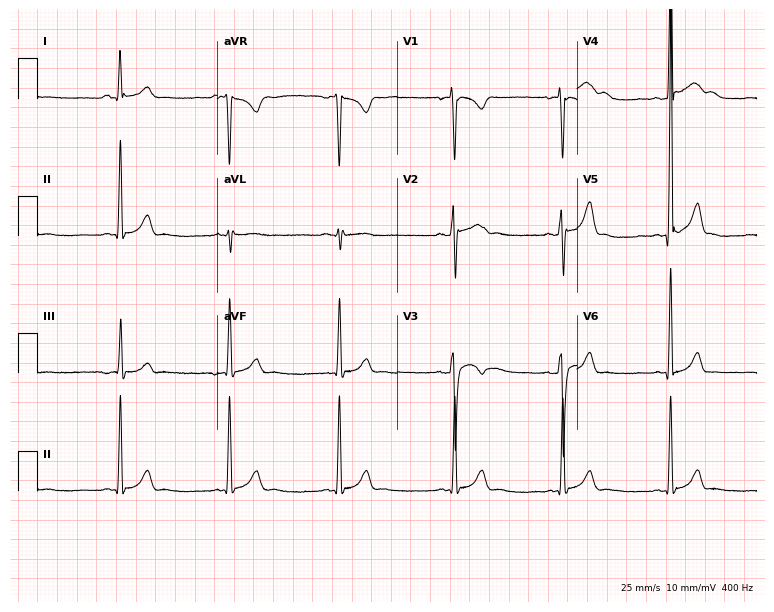
Resting 12-lead electrocardiogram. Patient: a woman, 20 years old. Read as a normal ECG.